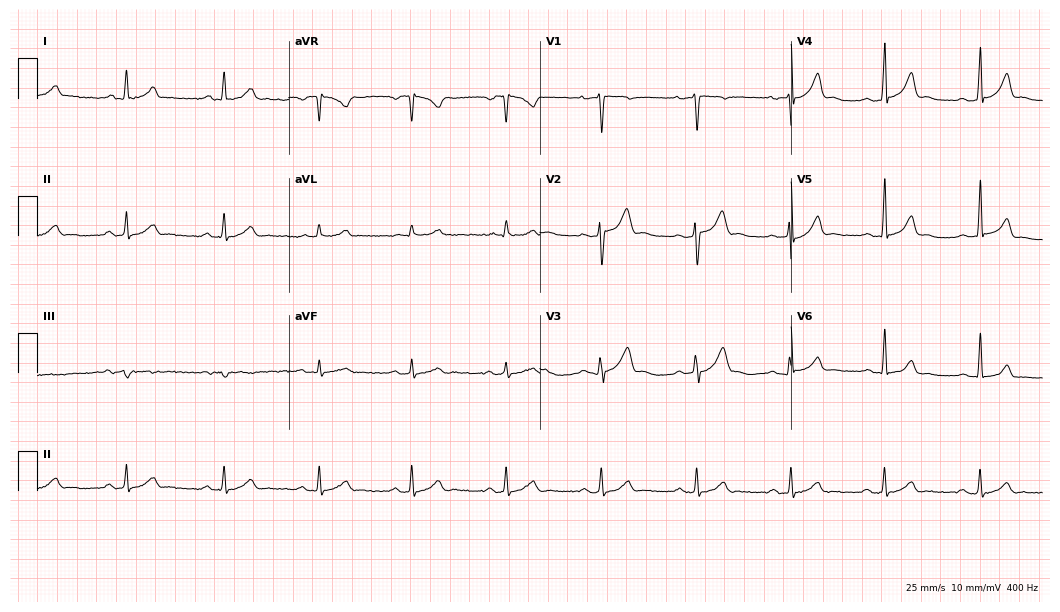
Standard 12-lead ECG recorded from a male, 34 years old. Read as a normal ECG.